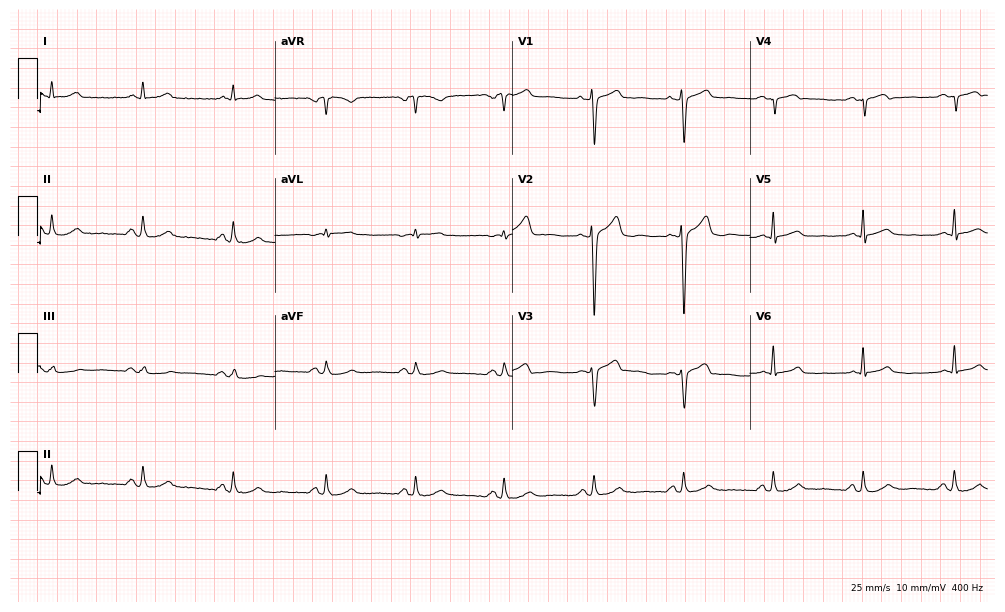
12-lead ECG from a 63-year-old male. Labelled as a normal ECG.